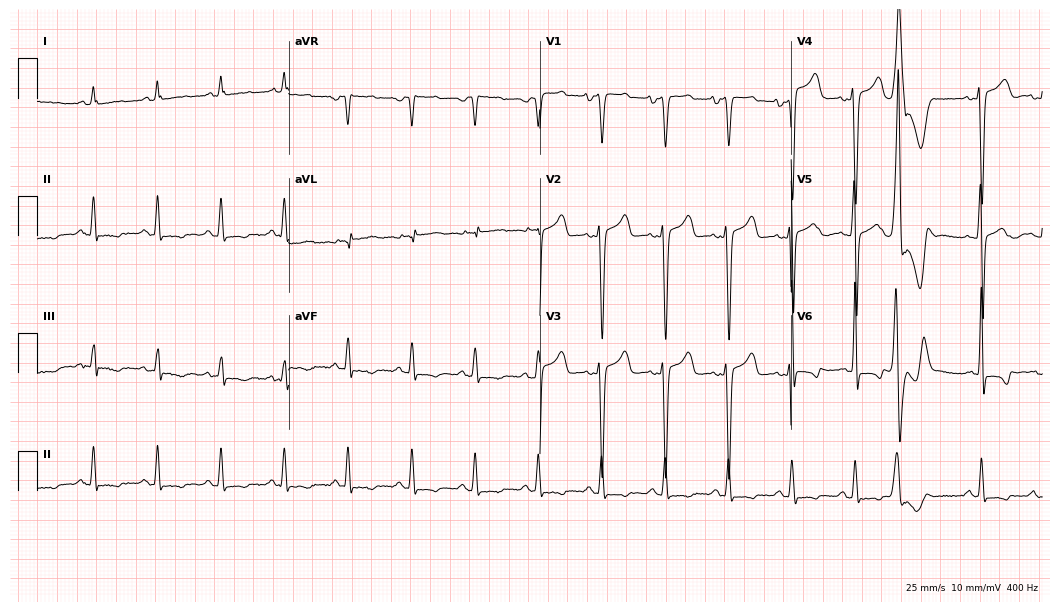
12-lead ECG (10.2-second recording at 400 Hz) from a 35-year-old male. Labelled as a normal ECG.